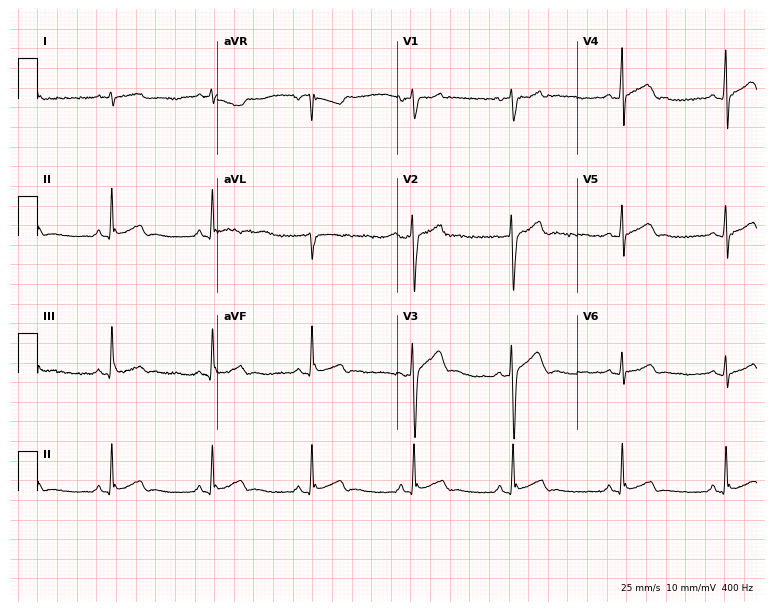
12-lead ECG from a 17-year-old man. Screened for six findings — first-degree AV block, right bundle branch block, left bundle branch block, sinus bradycardia, atrial fibrillation, sinus tachycardia — none is recorded.